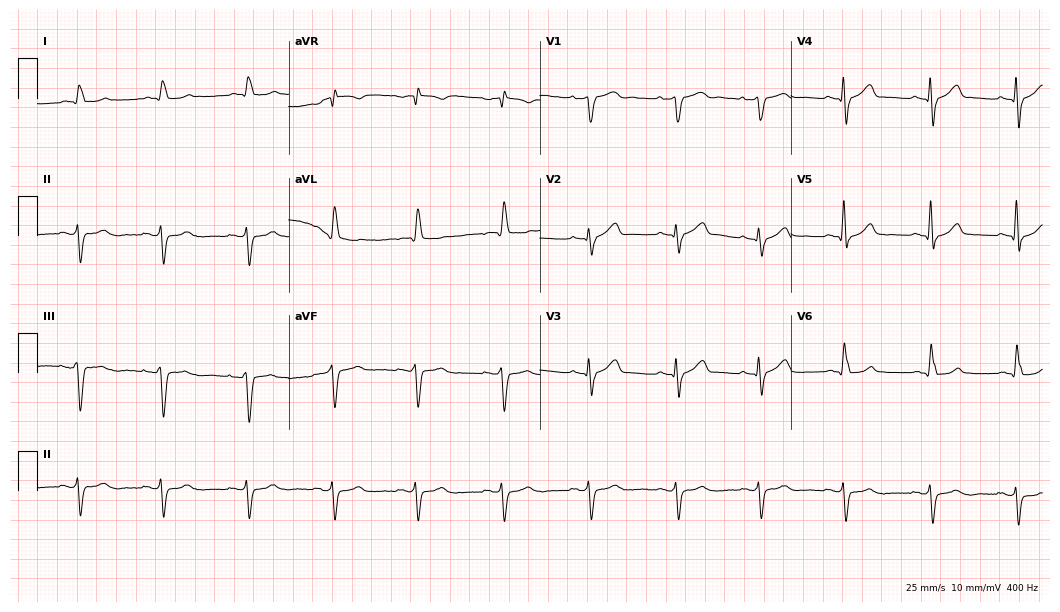
Electrocardiogram, an 83-year-old male. Of the six screened findings (first-degree AV block, right bundle branch block, left bundle branch block, sinus bradycardia, atrial fibrillation, sinus tachycardia), none is recorded.